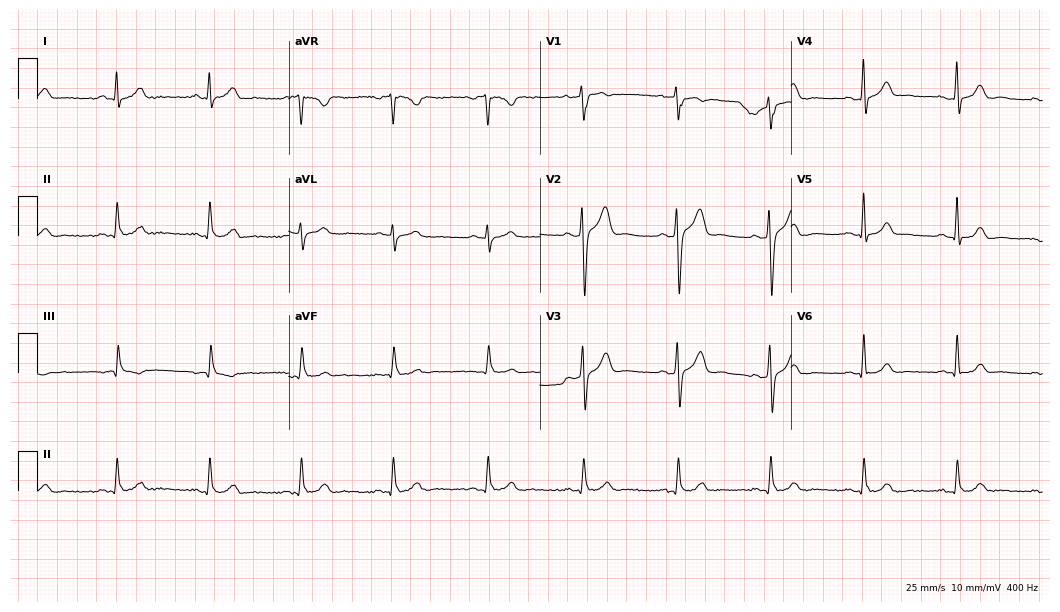
ECG (10.2-second recording at 400 Hz) — a male, 43 years old. Screened for six findings — first-degree AV block, right bundle branch block (RBBB), left bundle branch block (LBBB), sinus bradycardia, atrial fibrillation (AF), sinus tachycardia — none is recorded.